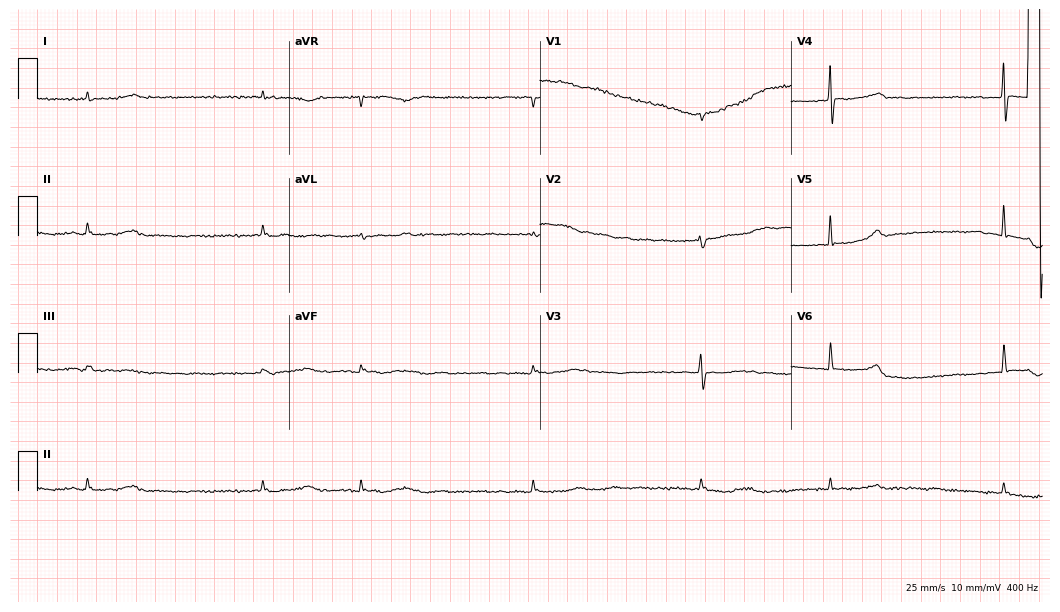
Standard 12-lead ECG recorded from a woman, 81 years old (10.2-second recording at 400 Hz). The tracing shows atrial fibrillation.